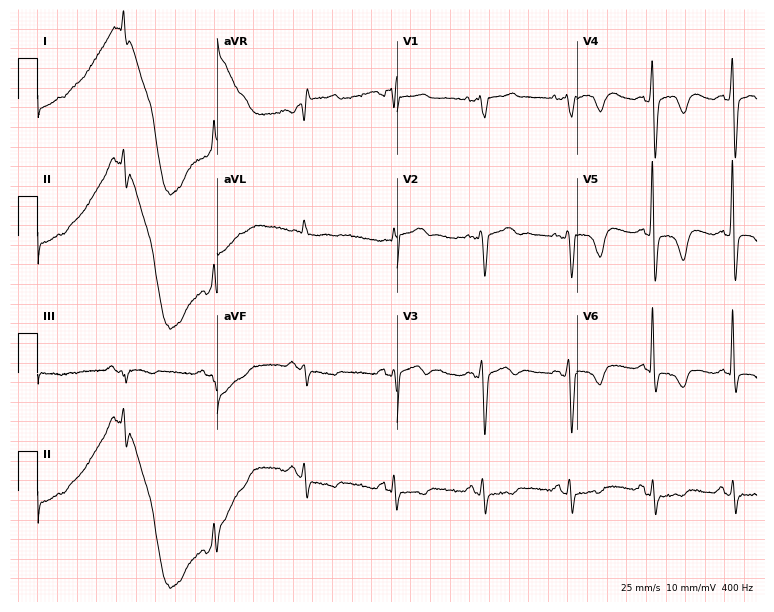
Resting 12-lead electrocardiogram (7.3-second recording at 400 Hz). Patient: a man, 75 years old. None of these six findings is recorded: first-degree AV block, right bundle branch block (RBBB), left bundle branch block (LBBB), sinus bradycardia, atrial fibrillation (AF), sinus tachycardia.